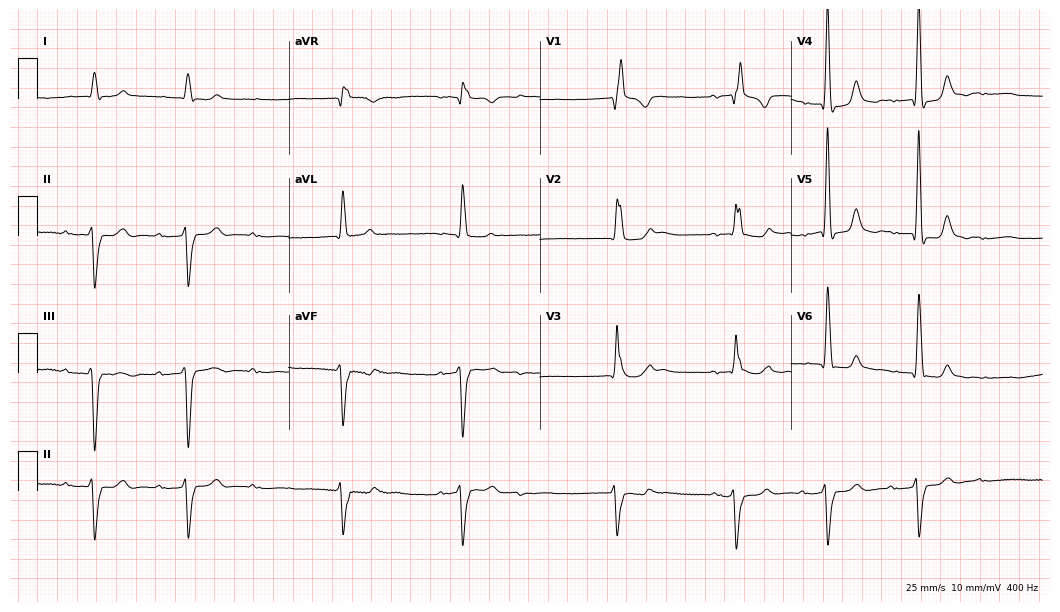
ECG (10.2-second recording at 400 Hz) — a male, 71 years old. Screened for six findings — first-degree AV block, right bundle branch block (RBBB), left bundle branch block (LBBB), sinus bradycardia, atrial fibrillation (AF), sinus tachycardia — none is recorded. Findings outside these six are not listed.